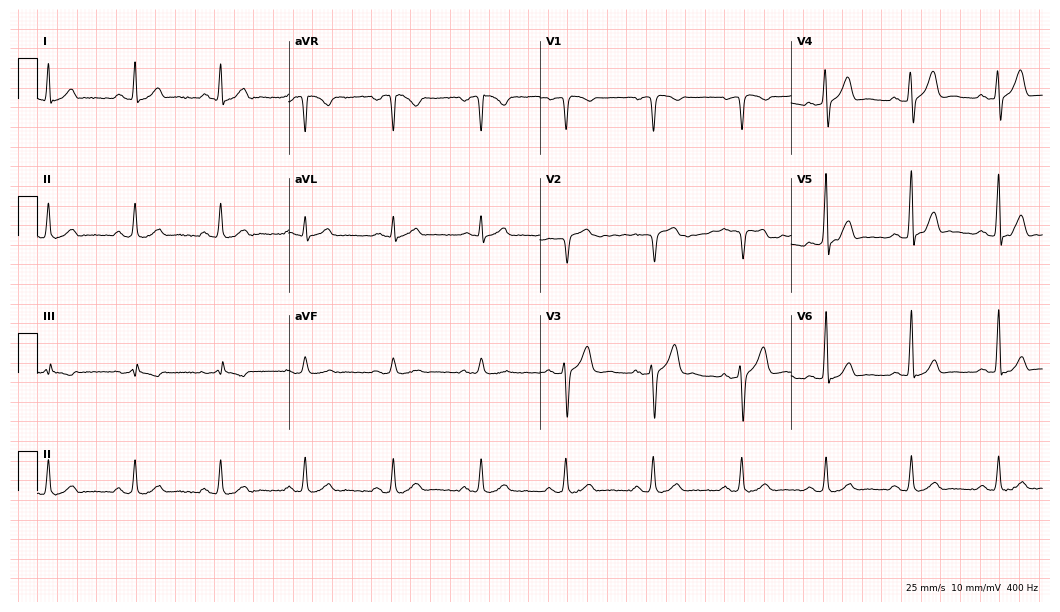
ECG (10.2-second recording at 400 Hz) — a 49-year-old male patient. Labelled as a normal ECG.